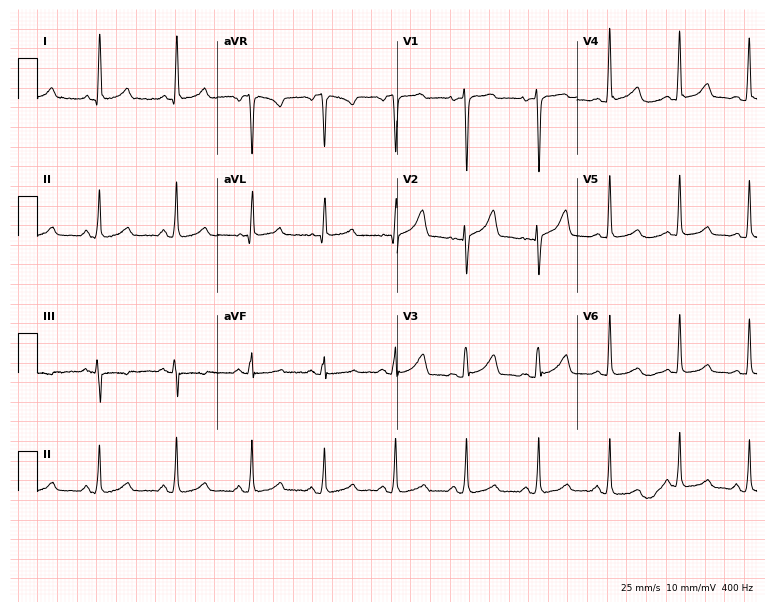
Resting 12-lead electrocardiogram. Patient: a woman, 41 years old. Read as a normal ECG.